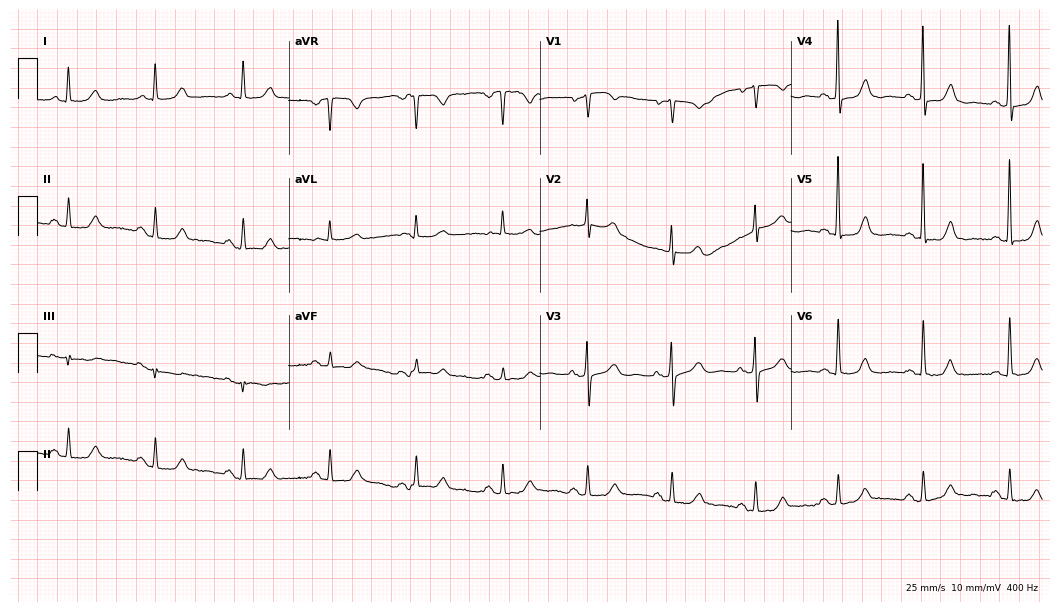
ECG — a female patient, 77 years old. Screened for six findings — first-degree AV block, right bundle branch block, left bundle branch block, sinus bradycardia, atrial fibrillation, sinus tachycardia — none is recorded. Only these six findings were labelled.